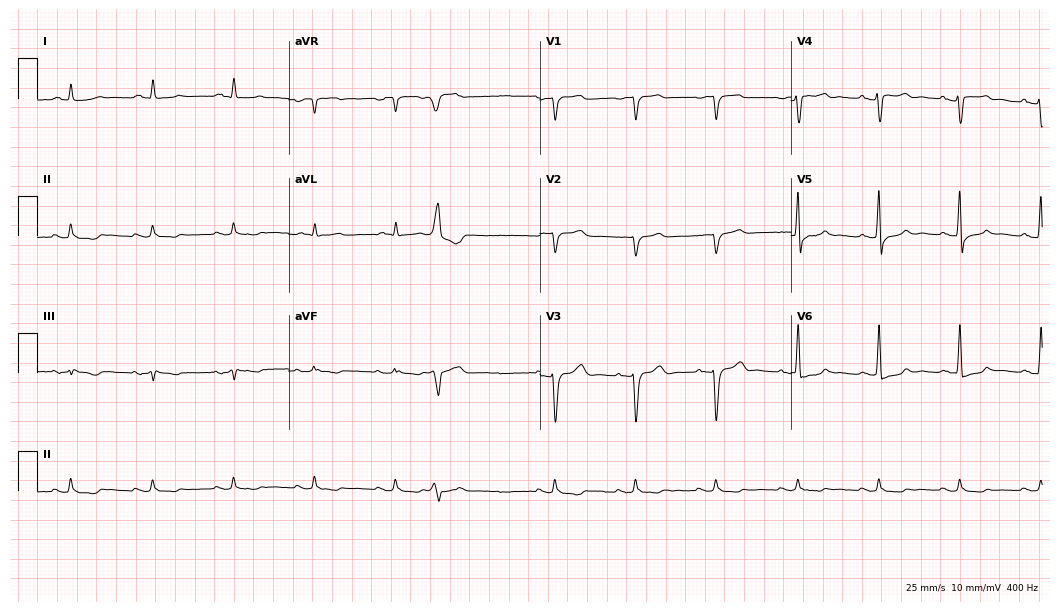
ECG — a man, 67 years old. Screened for six findings — first-degree AV block, right bundle branch block, left bundle branch block, sinus bradycardia, atrial fibrillation, sinus tachycardia — none is recorded.